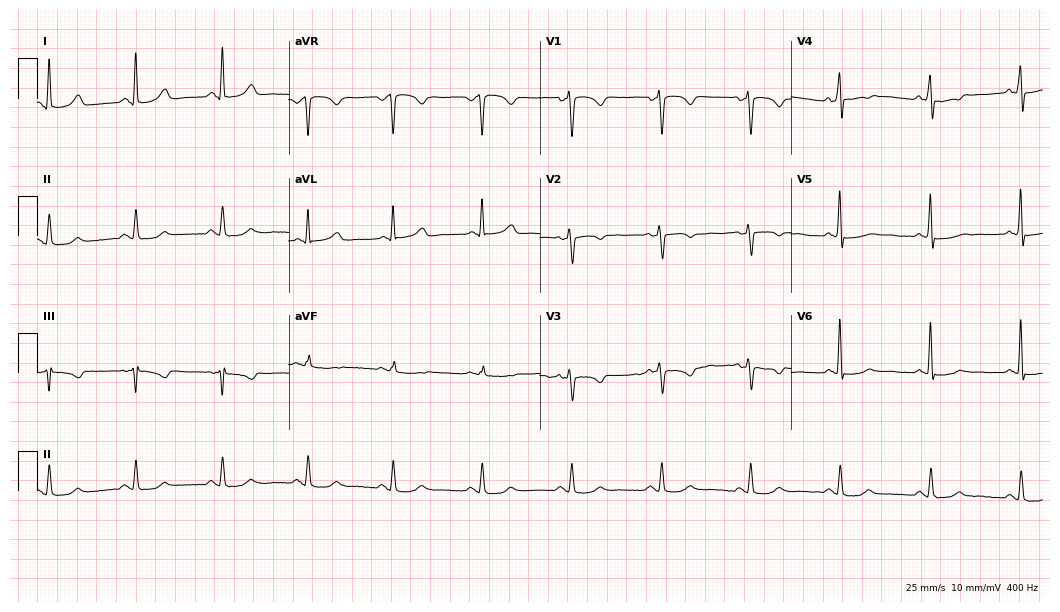
ECG (10.2-second recording at 400 Hz) — a female, 45 years old. Screened for six findings — first-degree AV block, right bundle branch block, left bundle branch block, sinus bradycardia, atrial fibrillation, sinus tachycardia — none is recorded.